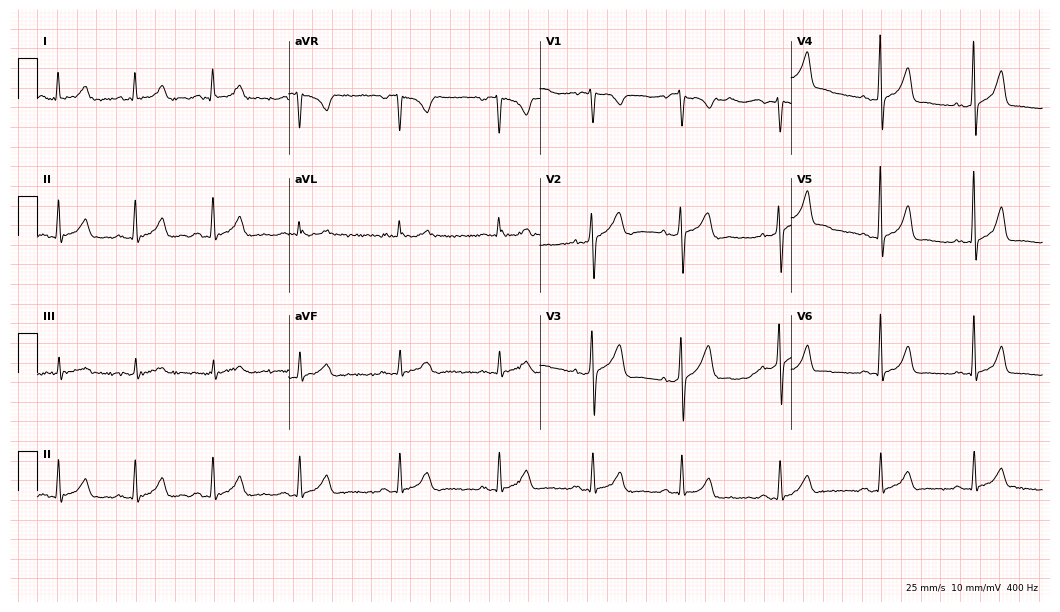
Standard 12-lead ECG recorded from a female patient, 30 years old. Read as a normal ECG.